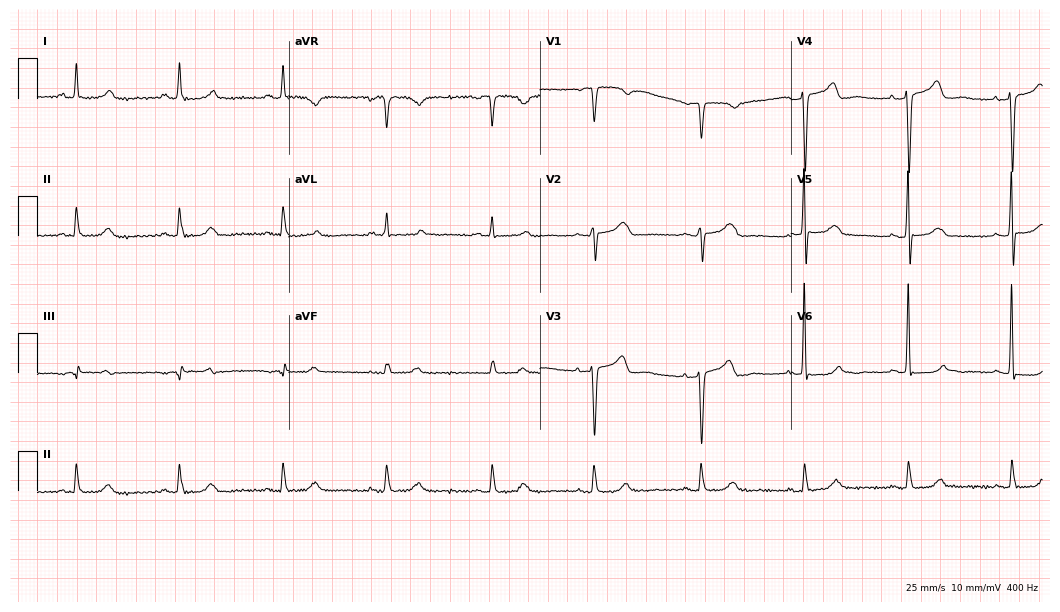
ECG (10.2-second recording at 400 Hz) — a 71-year-old female. Labelled as a normal ECG.